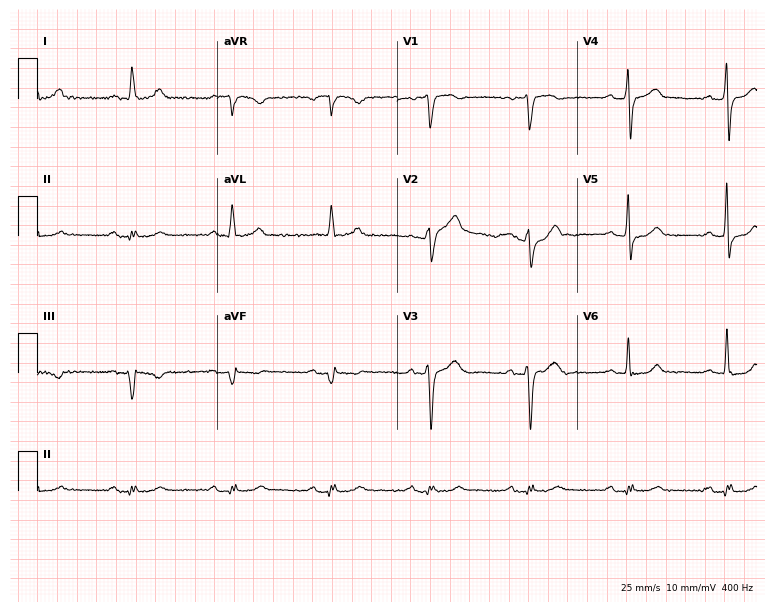
ECG (7.3-second recording at 400 Hz) — a male patient, 76 years old. Screened for six findings — first-degree AV block, right bundle branch block (RBBB), left bundle branch block (LBBB), sinus bradycardia, atrial fibrillation (AF), sinus tachycardia — none is recorded. Only these six findings were labelled.